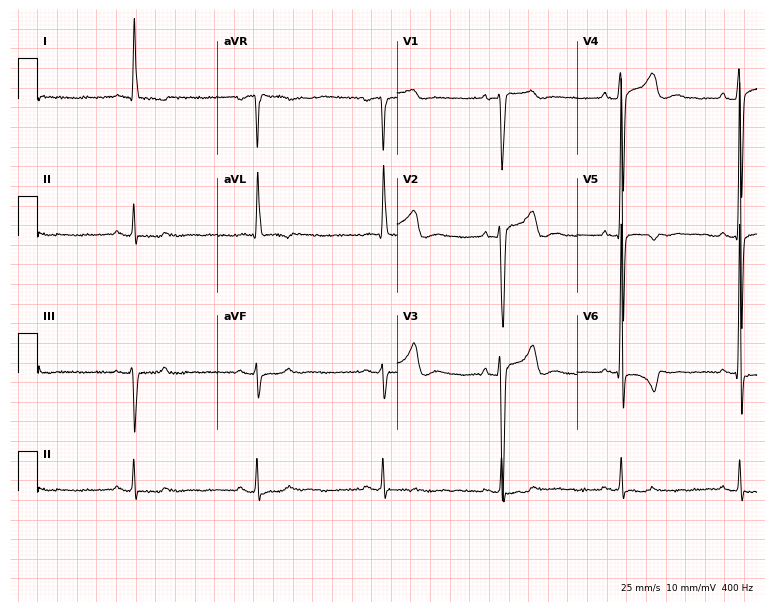
12-lead ECG from a male patient, 80 years old. Findings include sinus bradycardia (a sinus rate of 50 beats per minute or less).